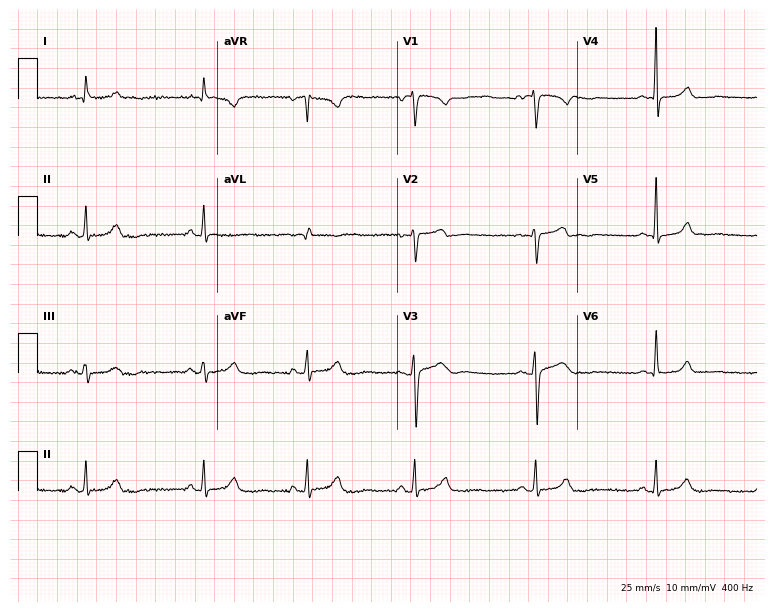
Resting 12-lead electrocardiogram (7.3-second recording at 400 Hz). Patient: a 42-year-old woman. None of these six findings is recorded: first-degree AV block, right bundle branch block (RBBB), left bundle branch block (LBBB), sinus bradycardia, atrial fibrillation (AF), sinus tachycardia. Findings outside these six are not listed.